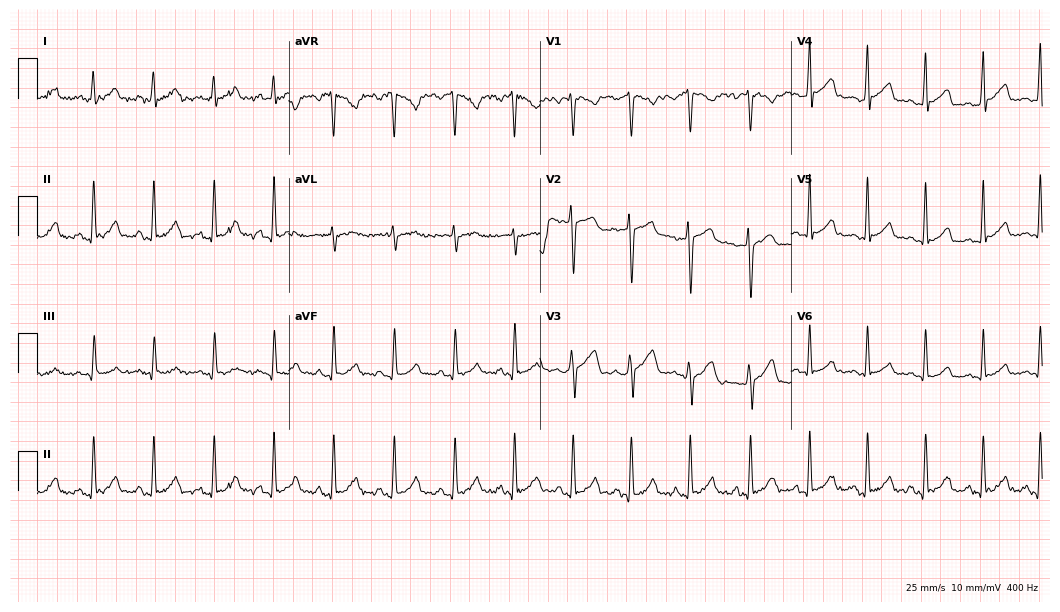
Resting 12-lead electrocardiogram (10.2-second recording at 400 Hz). Patient: a male, 24 years old. Read as a normal ECG.